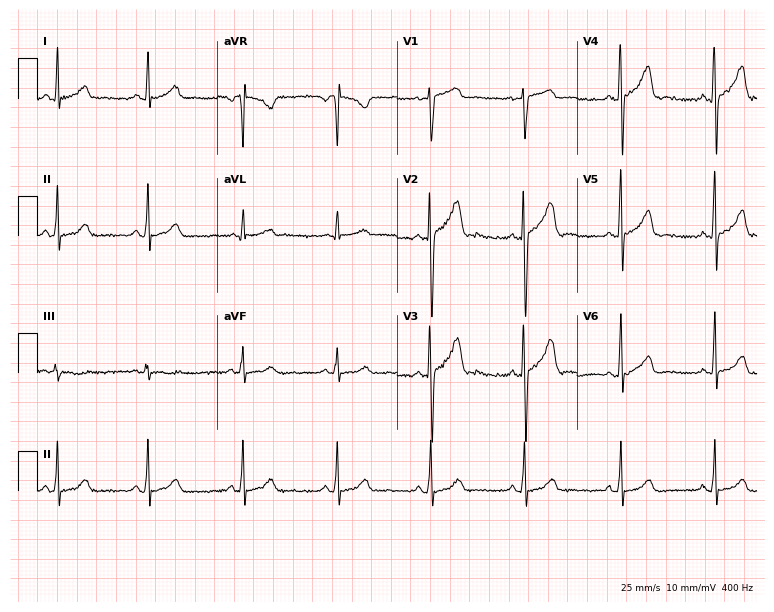
Resting 12-lead electrocardiogram. Patient: a female, 24 years old. None of these six findings is recorded: first-degree AV block, right bundle branch block, left bundle branch block, sinus bradycardia, atrial fibrillation, sinus tachycardia.